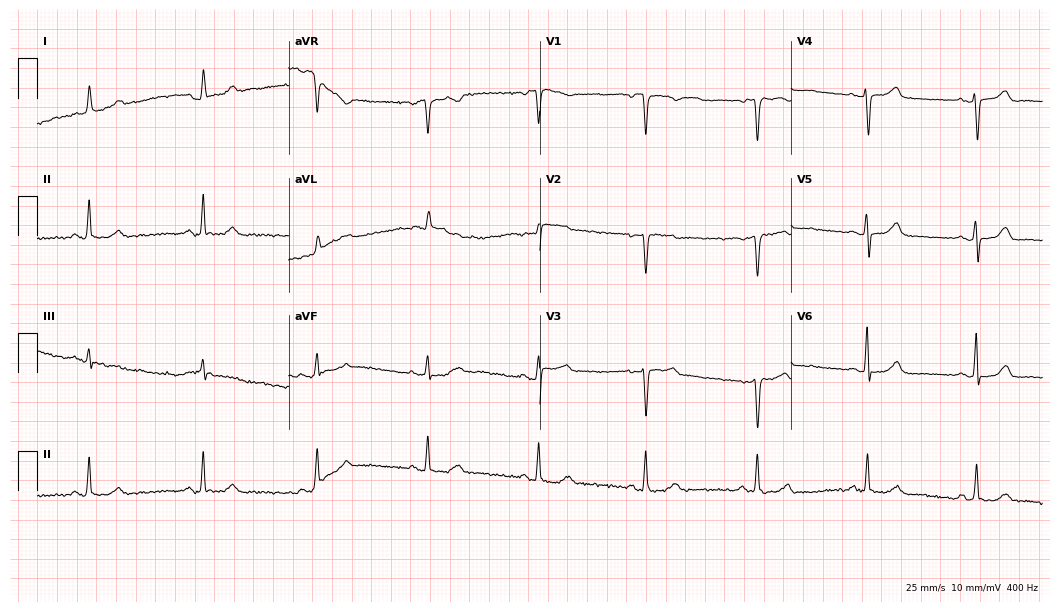
12-lead ECG (10.2-second recording at 400 Hz) from a 71-year-old woman. Labelled as a normal ECG.